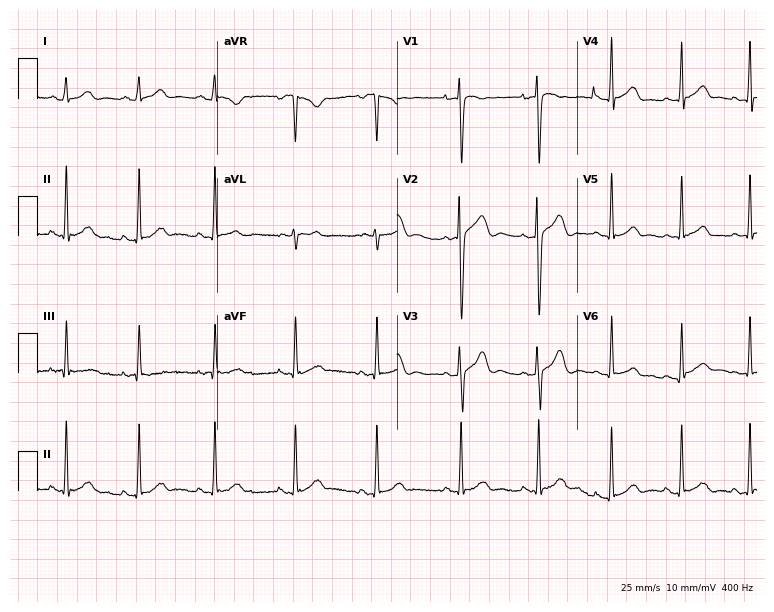
12-lead ECG from an 18-year-old female. No first-degree AV block, right bundle branch block, left bundle branch block, sinus bradycardia, atrial fibrillation or sinus tachycardia recorded for this tracing.